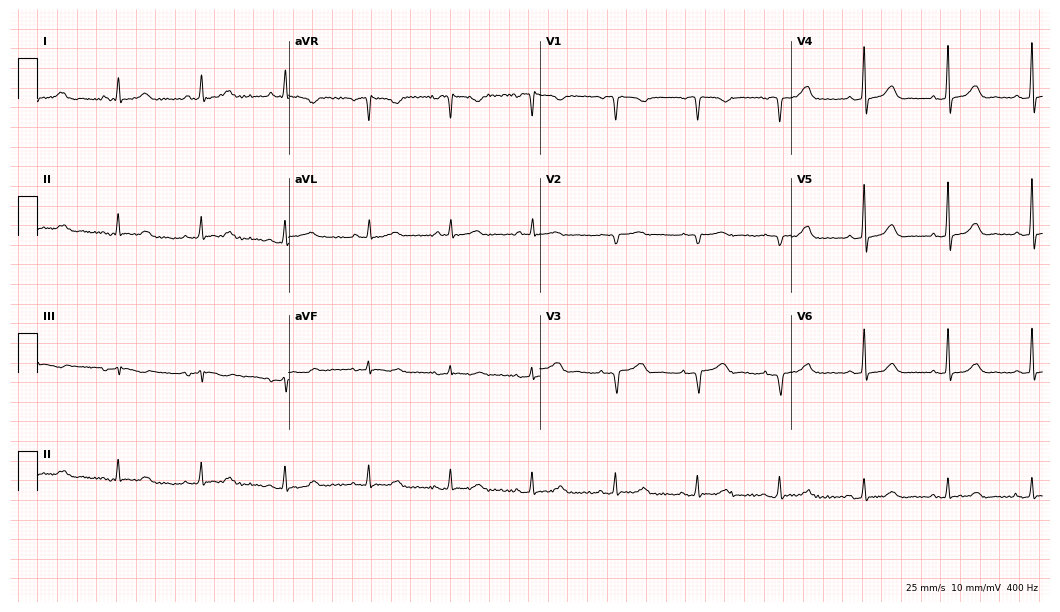
12-lead ECG from a 62-year-old female (10.2-second recording at 400 Hz). No first-degree AV block, right bundle branch block, left bundle branch block, sinus bradycardia, atrial fibrillation or sinus tachycardia recorded for this tracing. Only these six findings were labelled.